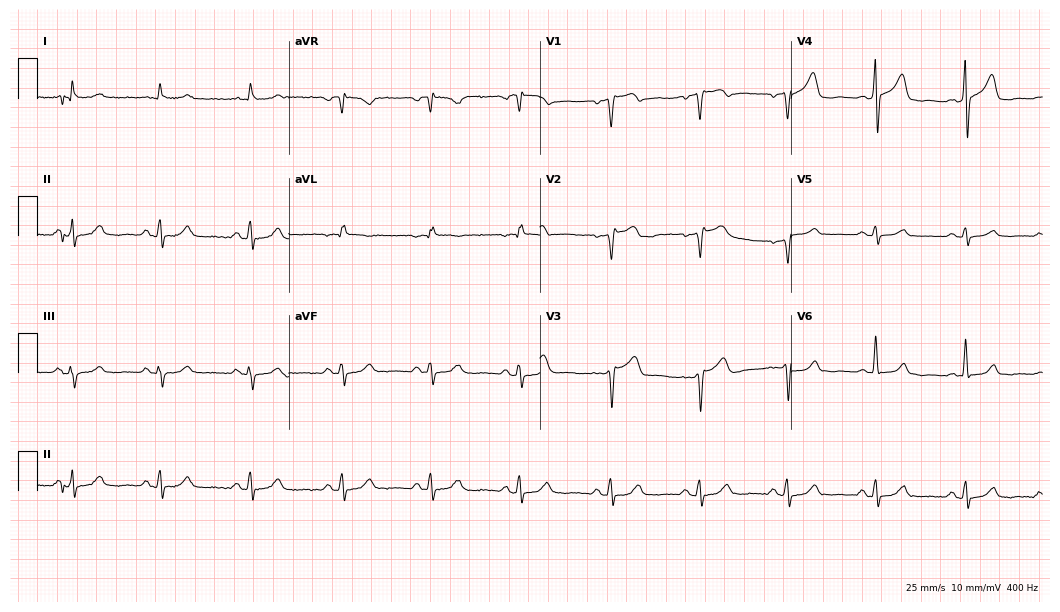
Electrocardiogram (10.2-second recording at 400 Hz), a 67-year-old male. Overall reading on record: normal ECG.